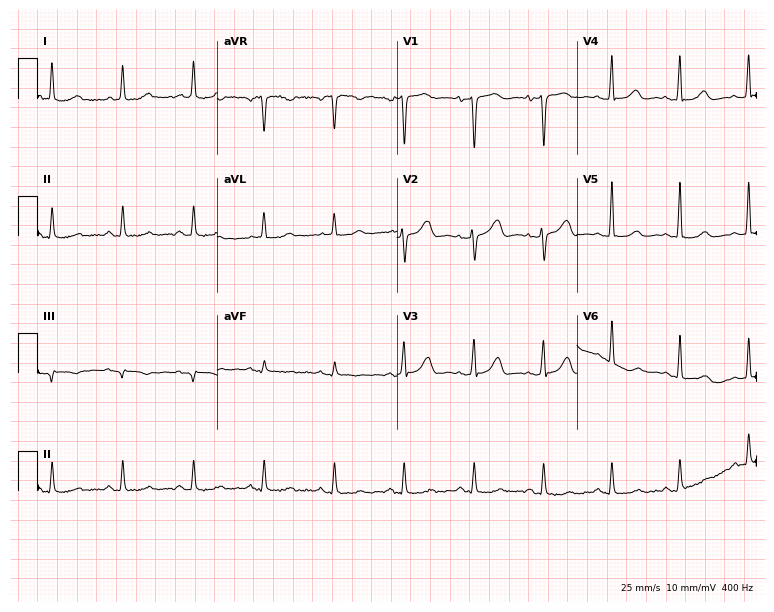
12-lead ECG from a woman, 62 years old (7.3-second recording at 400 Hz). No first-degree AV block, right bundle branch block (RBBB), left bundle branch block (LBBB), sinus bradycardia, atrial fibrillation (AF) or sinus tachycardia recorded for this tracing.